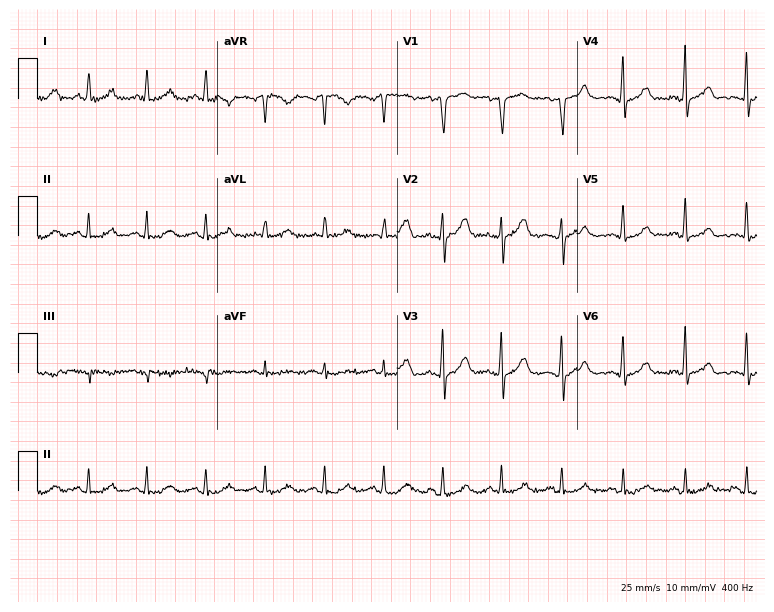
12-lead ECG from a 63-year-old female patient (7.3-second recording at 400 Hz). Recorded interpretation: within normal limits.